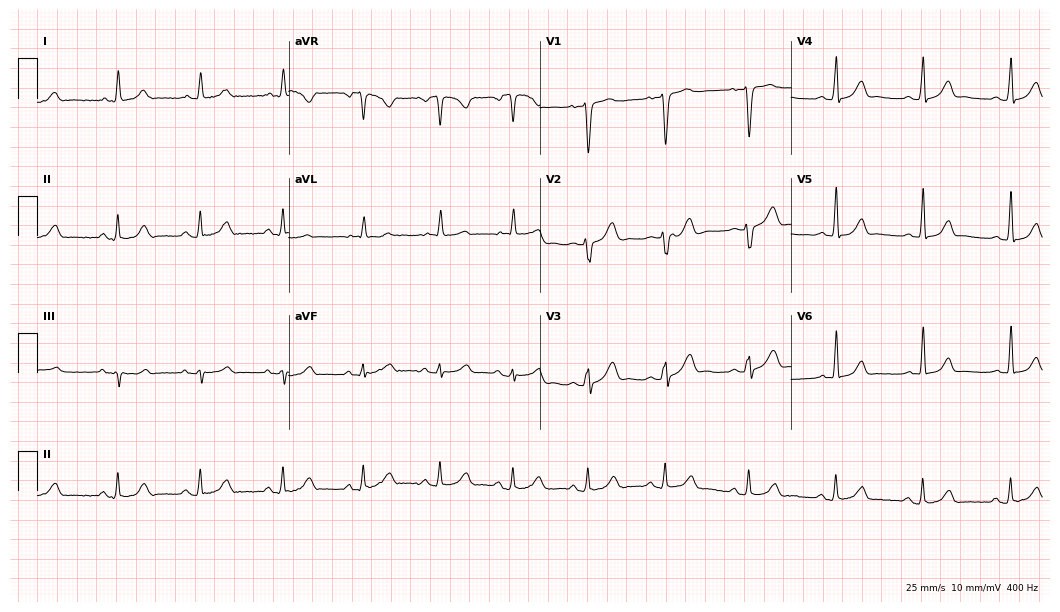
12-lead ECG from a woman, 38 years old (10.2-second recording at 400 Hz). Recorded interpretation: within normal limits.